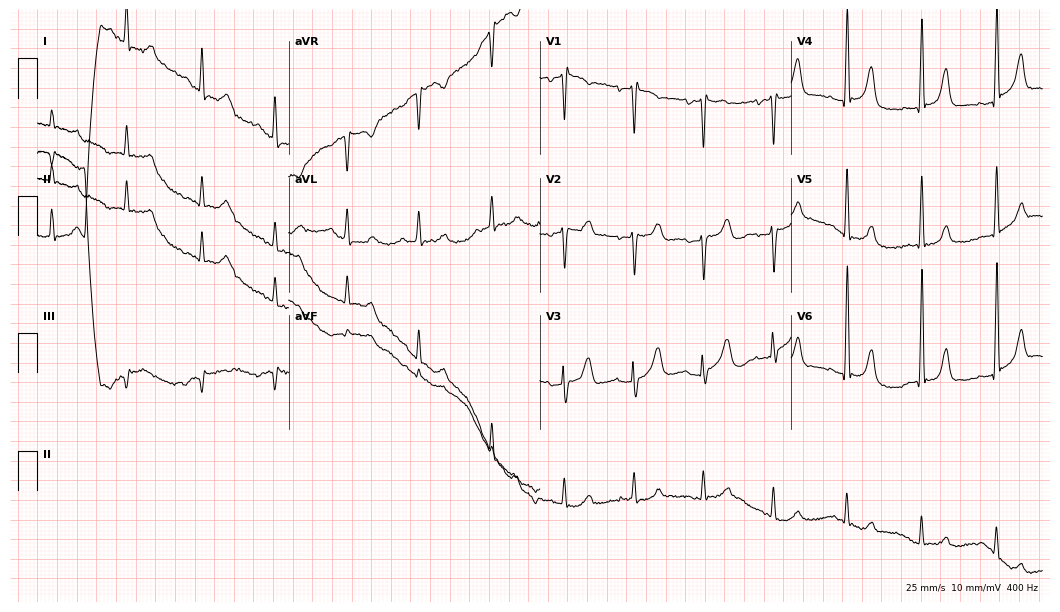
12-lead ECG from a 70-year-old female (10.2-second recording at 400 Hz). No first-degree AV block, right bundle branch block, left bundle branch block, sinus bradycardia, atrial fibrillation or sinus tachycardia recorded for this tracing. Other findings, if any, are not listed.